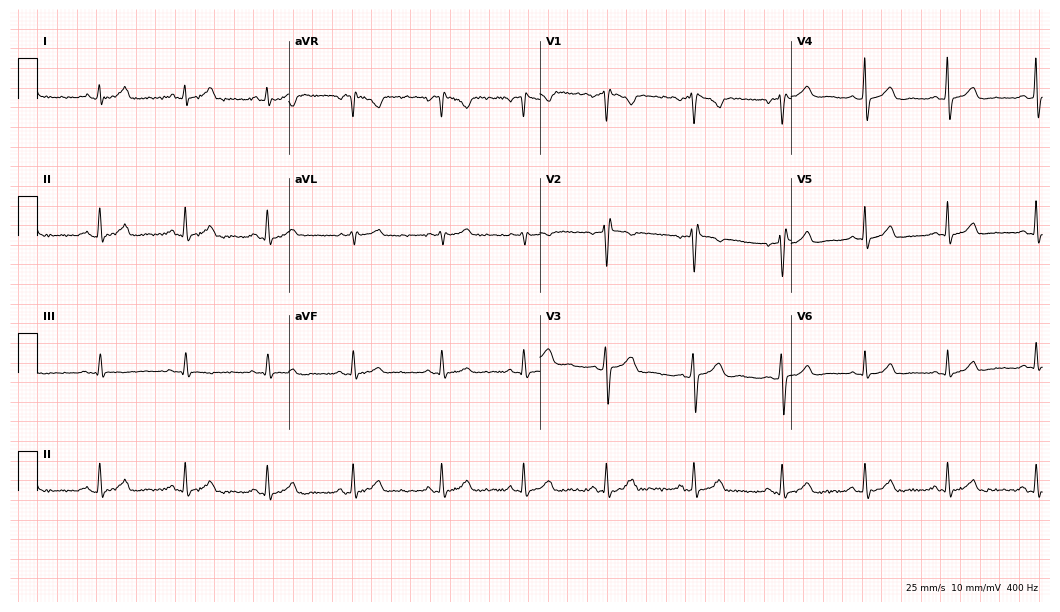
12-lead ECG (10.2-second recording at 400 Hz) from a 25-year-old woman. Screened for six findings — first-degree AV block, right bundle branch block (RBBB), left bundle branch block (LBBB), sinus bradycardia, atrial fibrillation (AF), sinus tachycardia — none is recorded. Only these six findings were labelled.